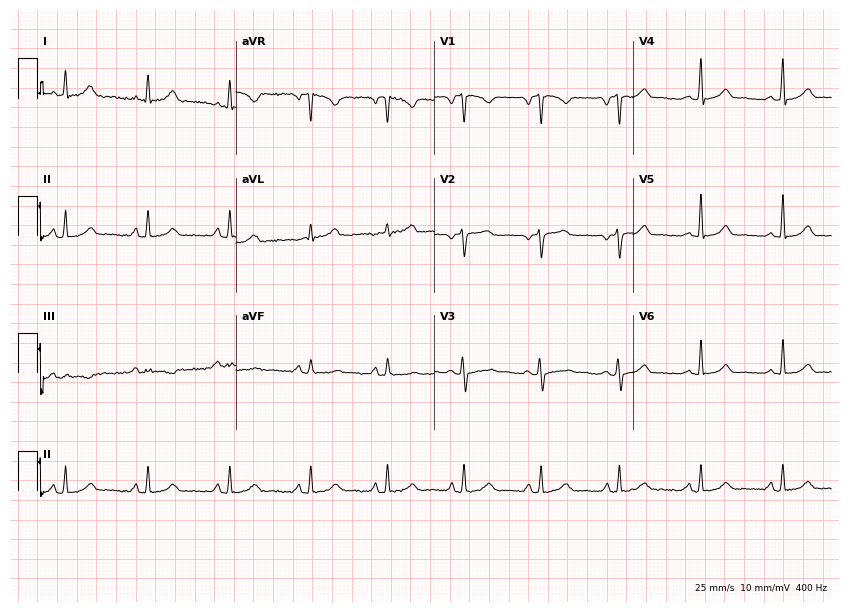
12-lead ECG from a 45-year-old female patient. No first-degree AV block, right bundle branch block (RBBB), left bundle branch block (LBBB), sinus bradycardia, atrial fibrillation (AF) or sinus tachycardia recorded for this tracing. Other findings, if any, are not listed.